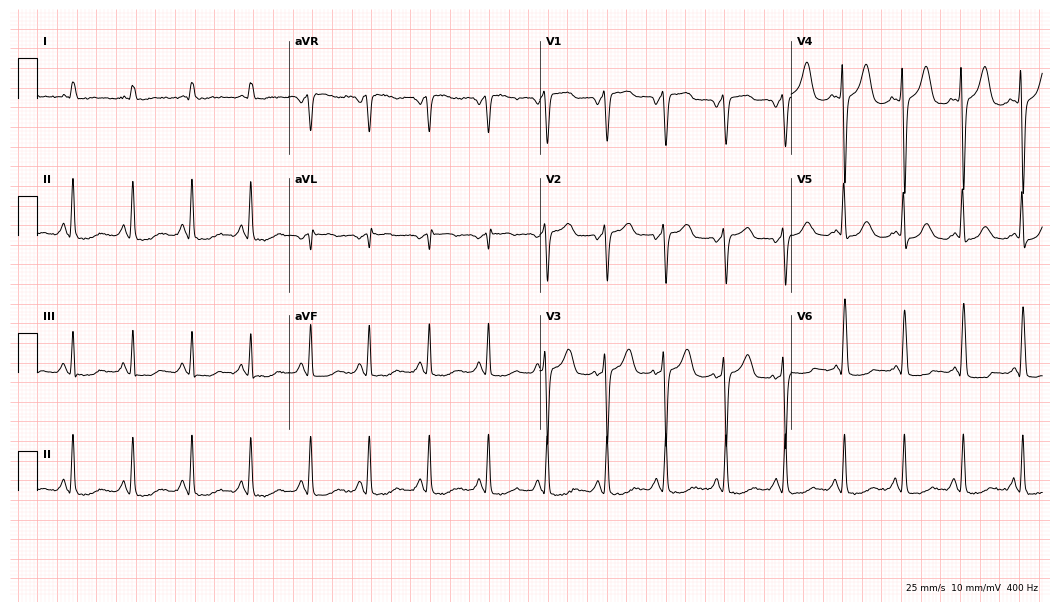
Standard 12-lead ECG recorded from a 77-year-old female patient (10.2-second recording at 400 Hz). None of these six findings is recorded: first-degree AV block, right bundle branch block, left bundle branch block, sinus bradycardia, atrial fibrillation, sinus tachycardia.